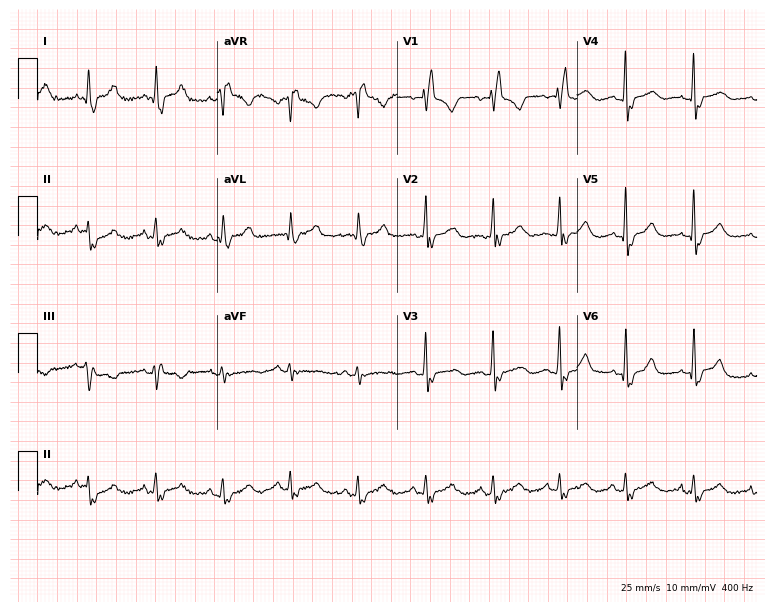
12-lead ECG (7.3-second recording at 400 Hz) from a 49-year-old female. Findings include right bundle branch block.